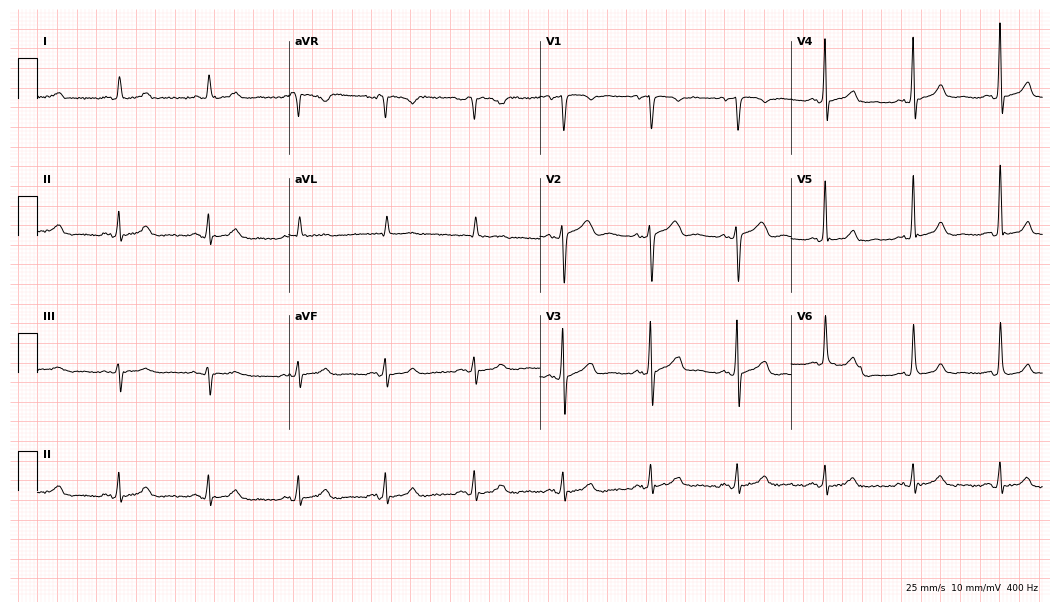
12-lead ECG (10.2-second recording at 400 Hz) from a 67-year-old woman. Labelled as a normal ECG.